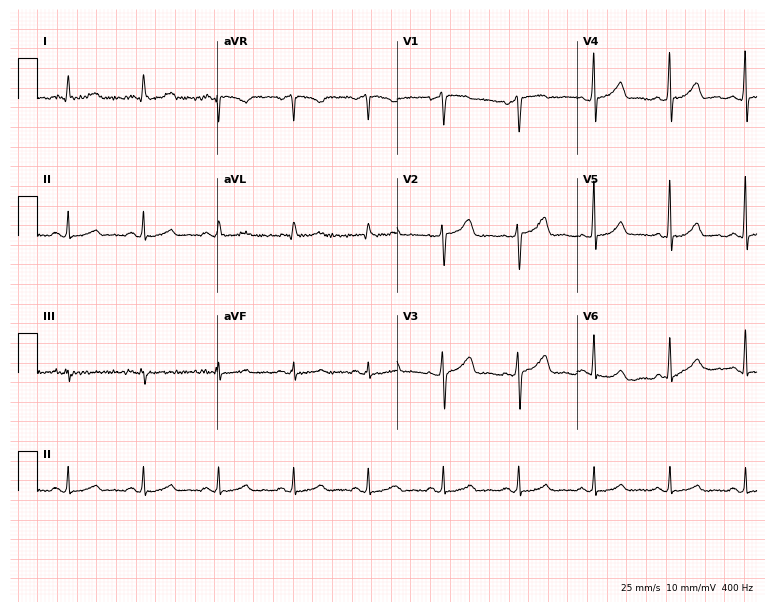
Resting 12-lead electrocardiogram. Patient: a woman, 49 years old. Read as a normal ECG.